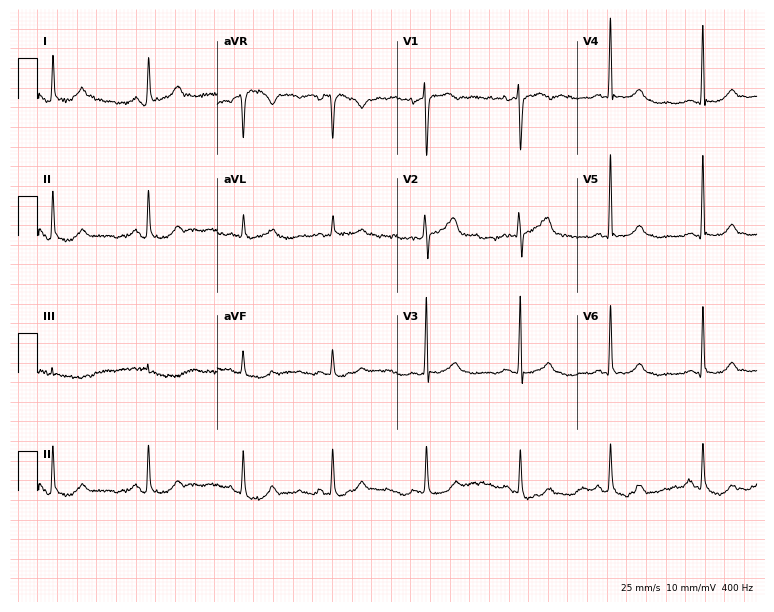
12-lead ECG from a 43-year-old female patient. Recorded interpretation: within normal limits.